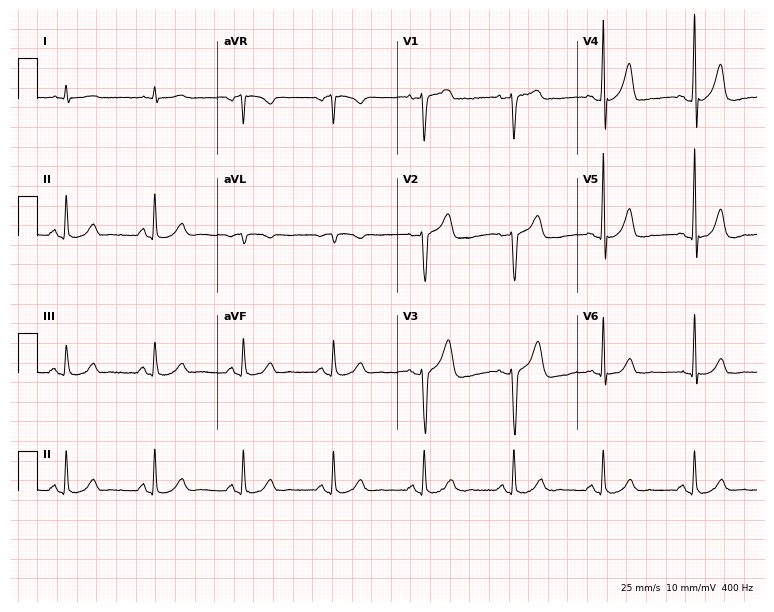
Standard 12-lead ECG recorded from a 74-year-old man. Read as a normal ECG.